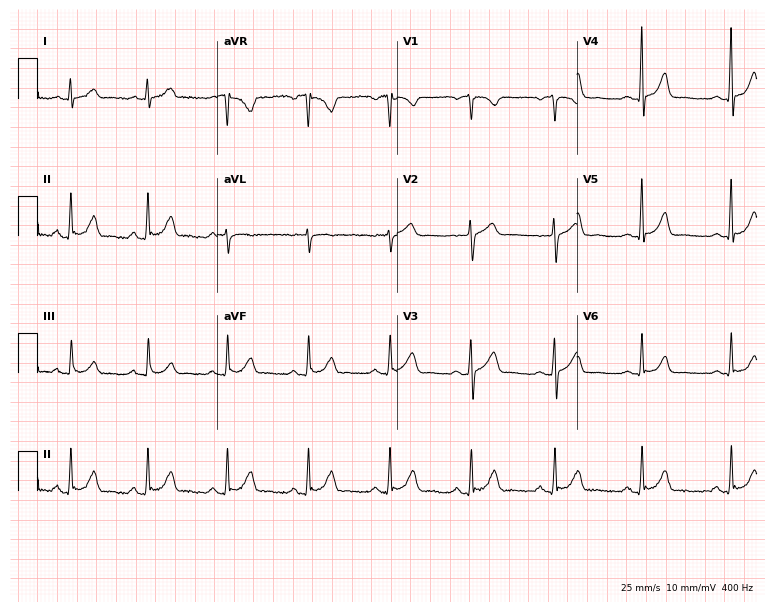
Standard 12-lead ECG recorded from a male patient, 48 years old (7.3-second recording at 400 Hz). Read as a normal ECG.